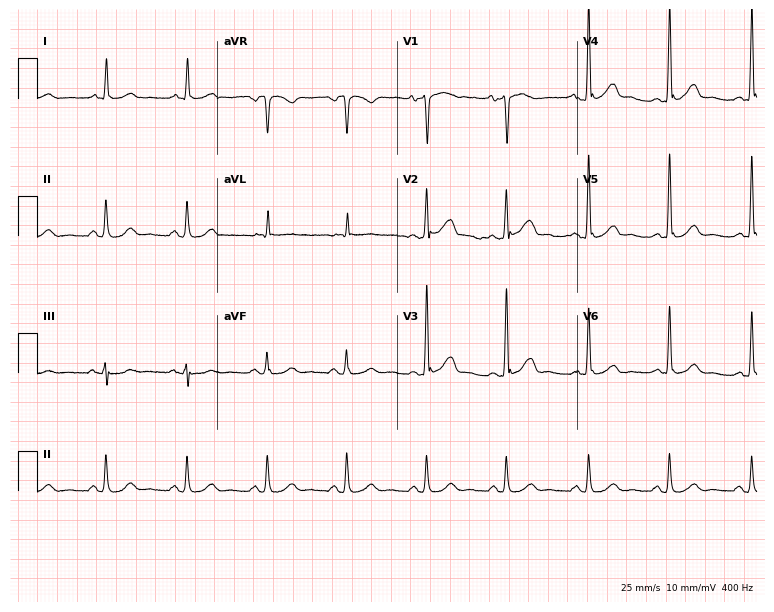
Electrocardiogram, a male patient, 67 years old. Of the six screened findings (first-degree AV block, right bundle branch block, left bundle branch block, sinus bradycardia, atrial fibrillation, sinus tachycardia), none is recorded. Other findings, if any, are not listed.